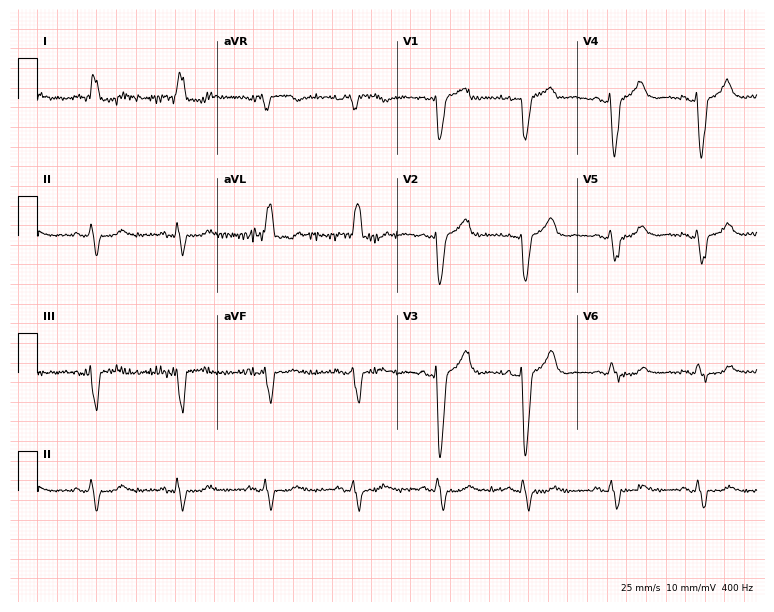
ECG (7.3-second recording at 400 Hz) — a 76-year-old female. Findings include left bundle branch block (LBBB).